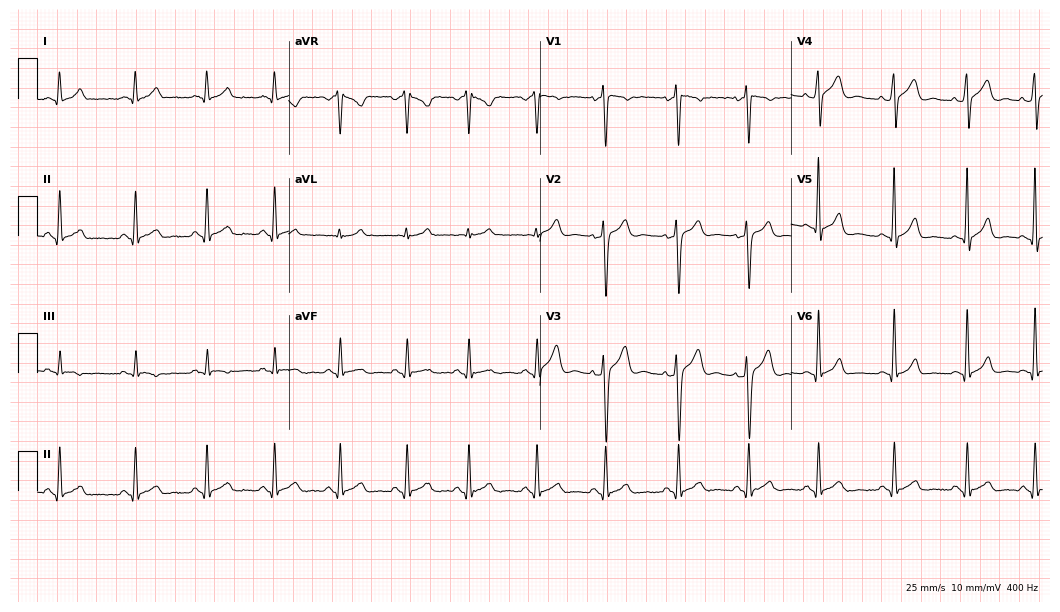
Electrocardiogram (10.2-second recording at 400 Hz), a 25-year-old man. Overall reading on record: normal ECG.